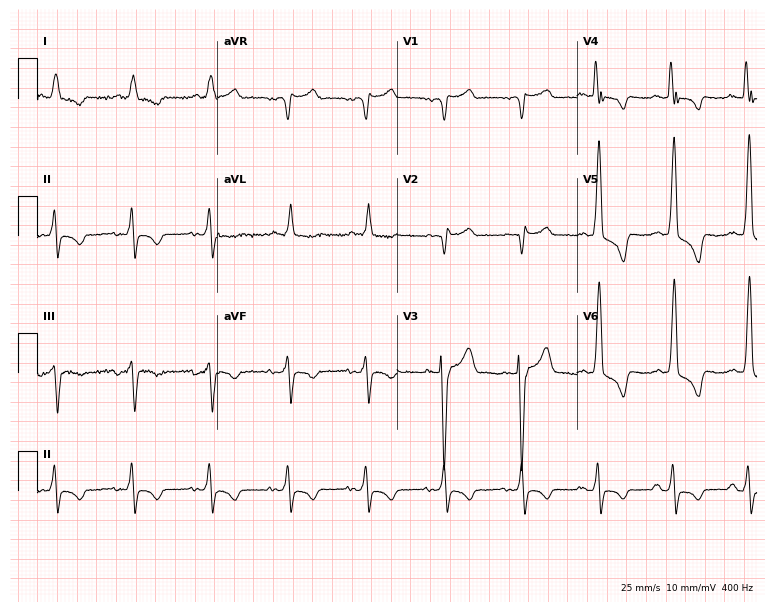
Resting 12-lead electrocardiogram (7.3-second recording at 400 Hz). Patient: a male, 67 years old. None of these six findings is recorded: first-degree AV block, right bundle branch block, left bundle branch block, sinus bradycardia, atrial fibrillation, sinus tachycardia.